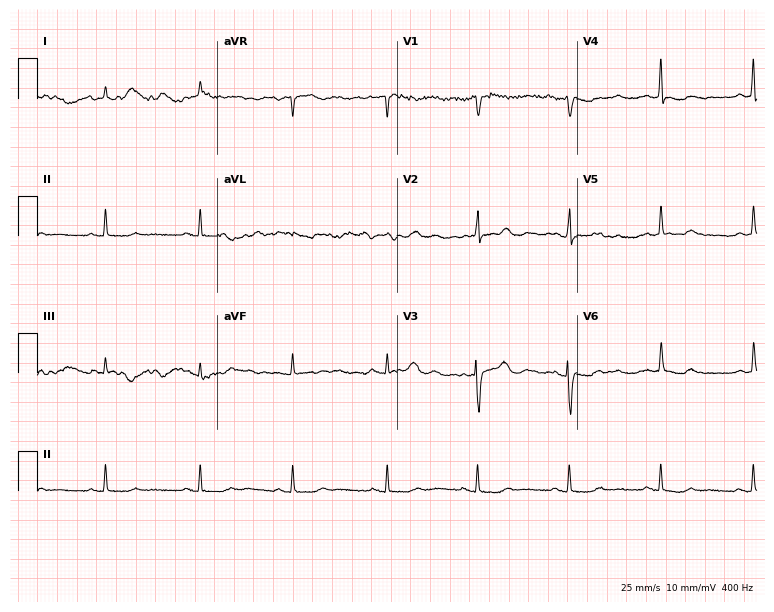
12-lead ECG from a female, 65 years old. No first-degree AV block, right bundle branch block, left bundle branch block, sinus bradycardia, atrial fibrillation or sinus tachycardia recorded for this tracing. Other findings, if any, are not listed.